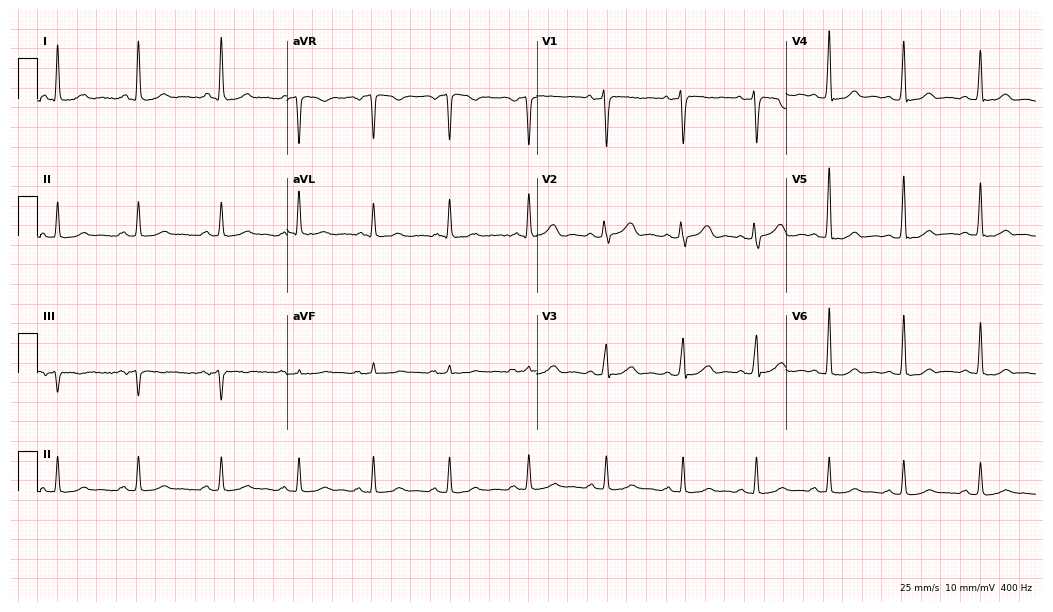
Standard 12-lead ECG recorded from a female patient, 45 years old (10.2-second recording at 400 Hz). Read as a normal ECG.